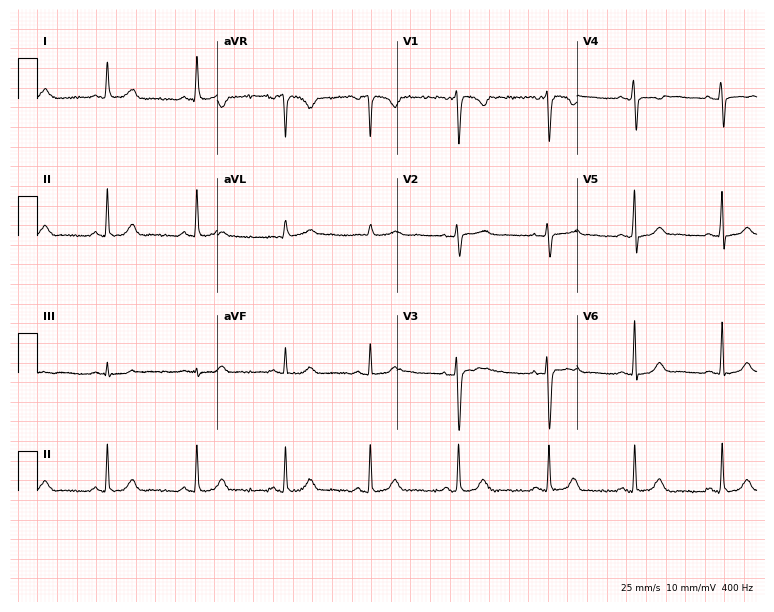
12-lead ECG (7.3-second recording at 400 Hz) from a 28-year-old female. Labelled as a normal ECG.